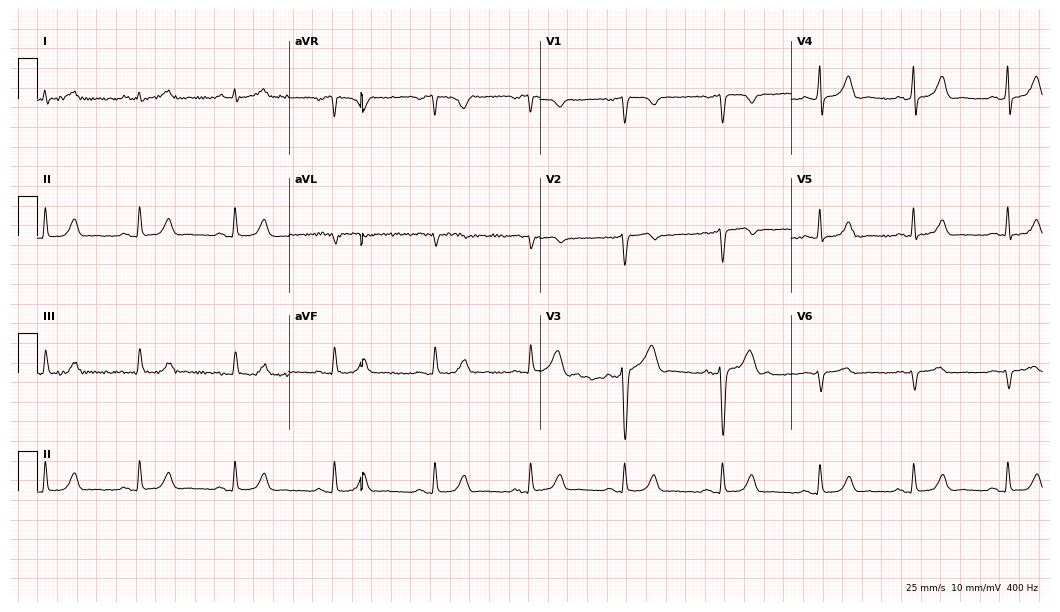
ECG (10.2-second recording at 400 Hz) — a 49-year-old male patient. Screened for six findings — first-degree AV block, right bundle branch block, left bundle branch block, sinus bradycardia, atrial fibrillation, sinus tachycardia — none is recorded. Other findings, if any, are not listed.